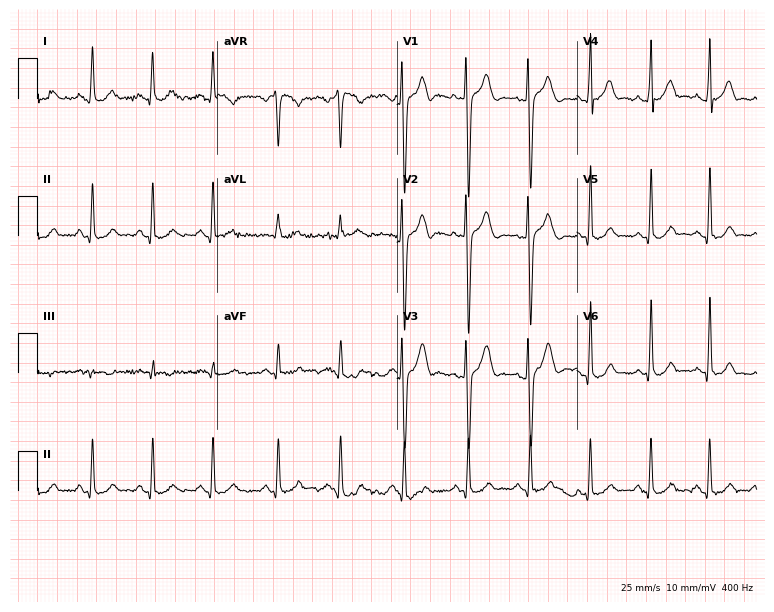
12-lead ECG from a man, 19 years old. Labelled as a normal ECG.